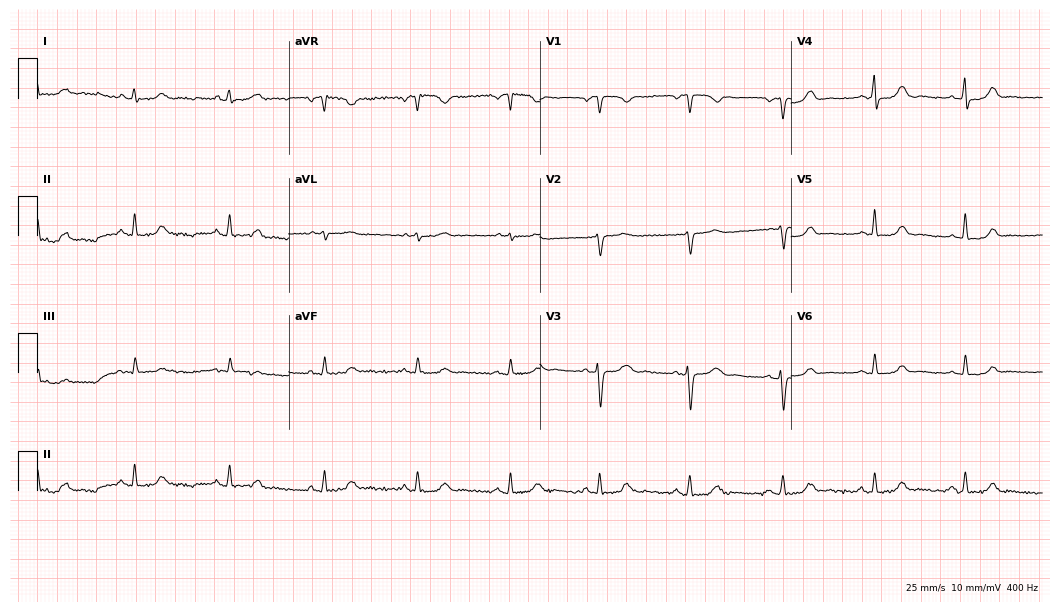
ECG — a 47-year-old female patient. Screened for six findings — first-degree AV block, right bundle branch block (RBBB), left bundle branch block (LBBB), sinus bradycardia, atrial fibrillation (AF), sinus tachycardia — none is recorded. Only these six findings were labelled.